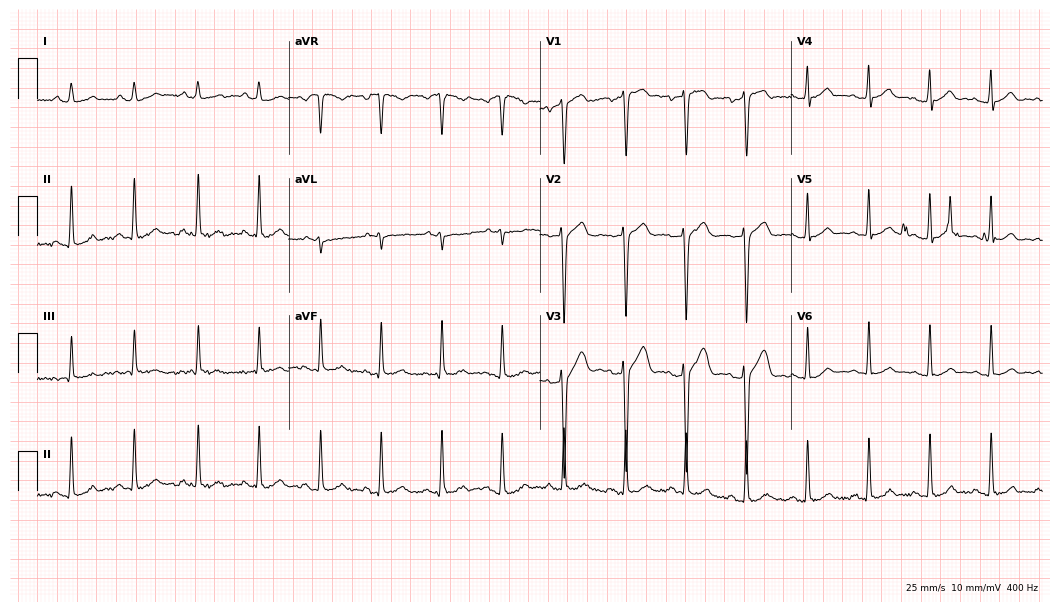
ECG — a man, 32 years old. Labelled as a normal ECG.